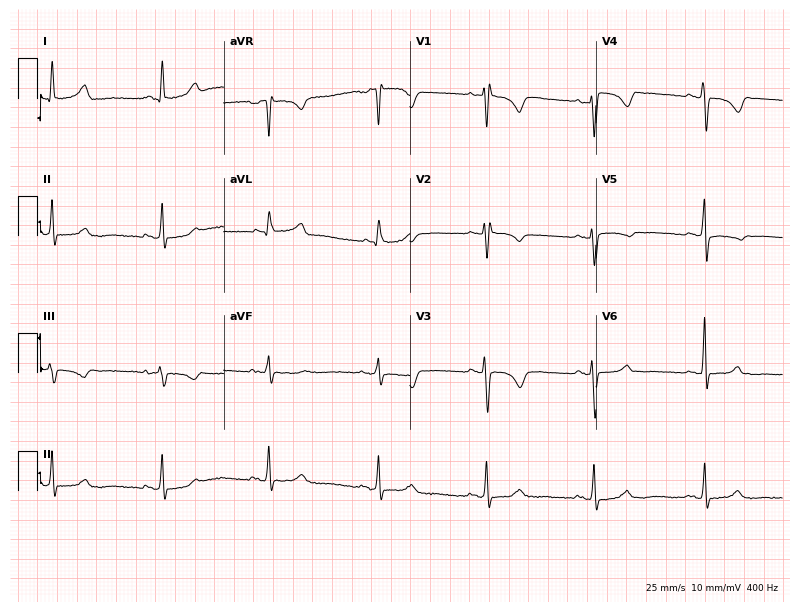
12-lead ECG (7.6-second recording at 400 Hz) from a 55-year-old female. Screened for six findings — first-degree AV block, right bundle branch block, left bundle branch block, sinus bradycardia, atrial fibrillation, sinus tachycardia — none is recorded. Other findings, if any, are not listed.